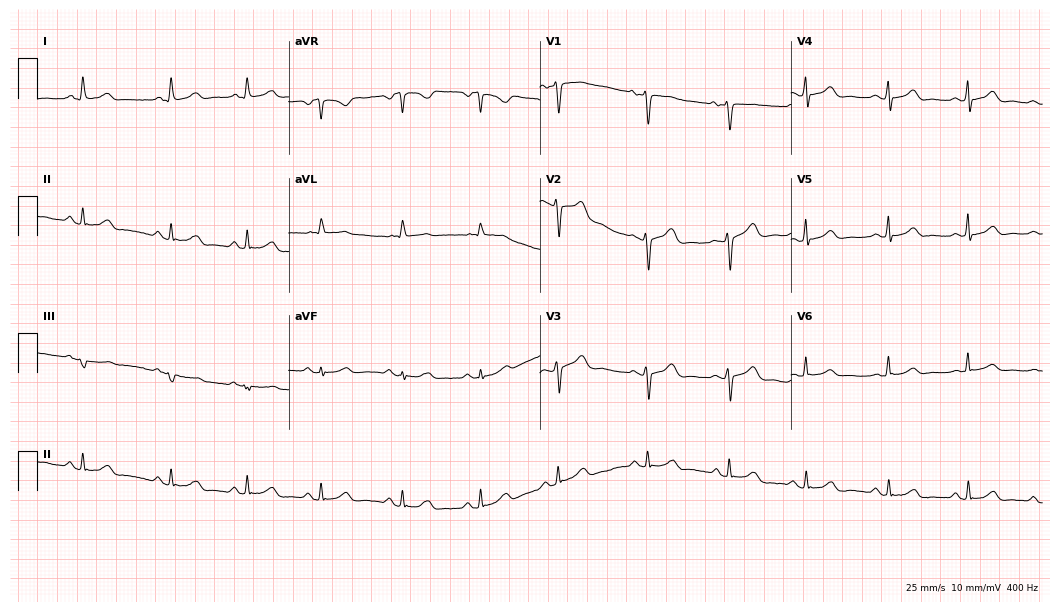
ECG — a woman, 53 years old. Labelled as a normal ECG.